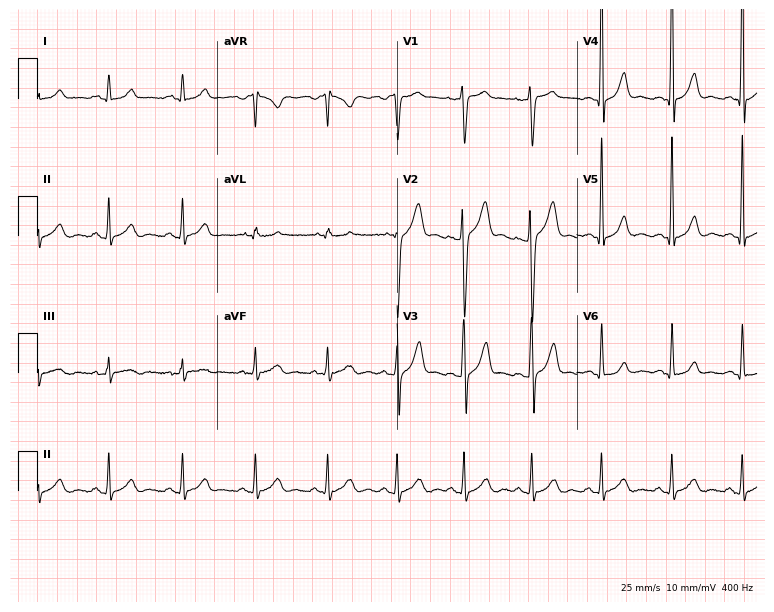
Electrocardiogram (7.3-second recording at 400 Hz), a male, 20 years old. Of the six screened findings (first-degree AV block, right bundle branch block (RBBB), left bundle branch block (LBBB), sinus bradycardia, atrial fibrillation (AF), sinus tachycardia), none is recorded. Findings outside these six are not listed.